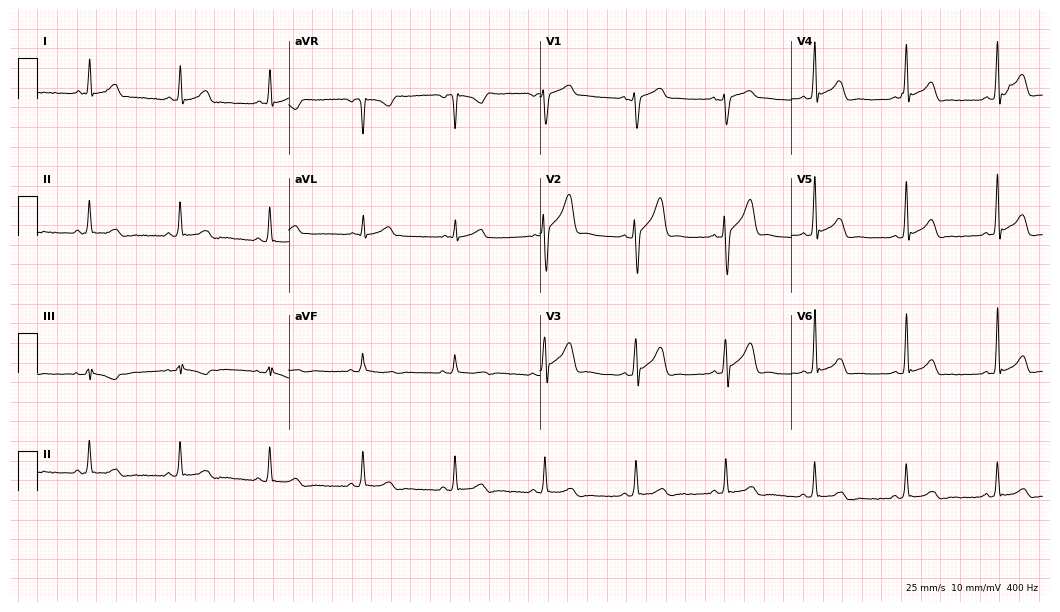
ECG (10.2-second recording at 400 Hz) — a male, 39 years old. Labelled as a normal ECG.